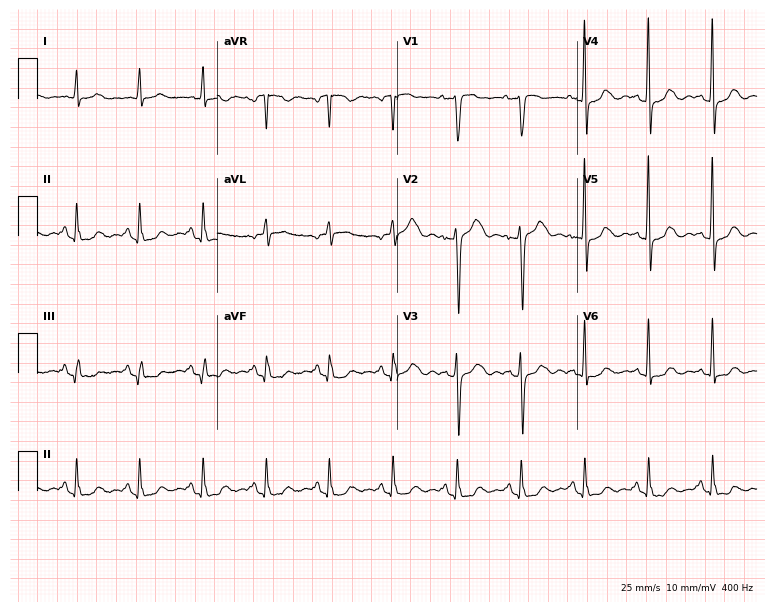
12-lead ECG from a female patient, 47 years old. Labelled as a normal ECG.